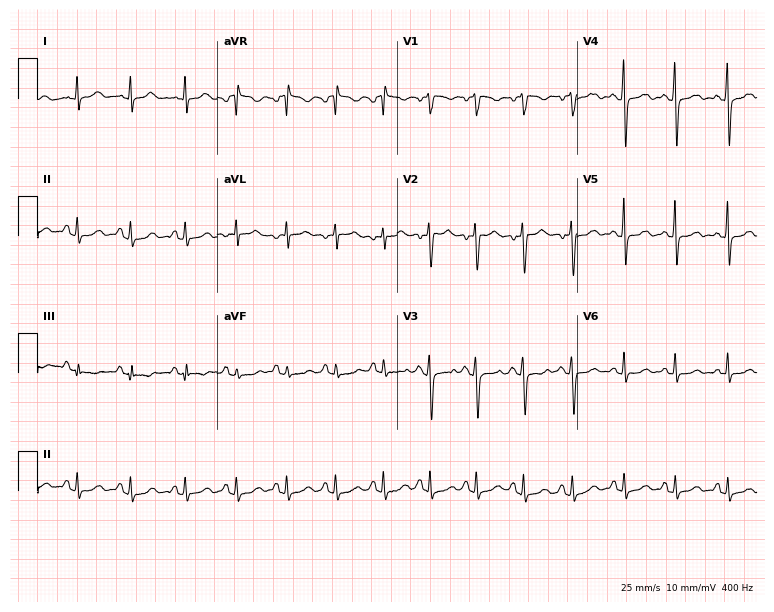
12-lead ECG (7.3-second recording at 400 Hz) from a female, 28 years old. Findings include sinus tachycardia (a sinus rate of 100 beats per minute or more).